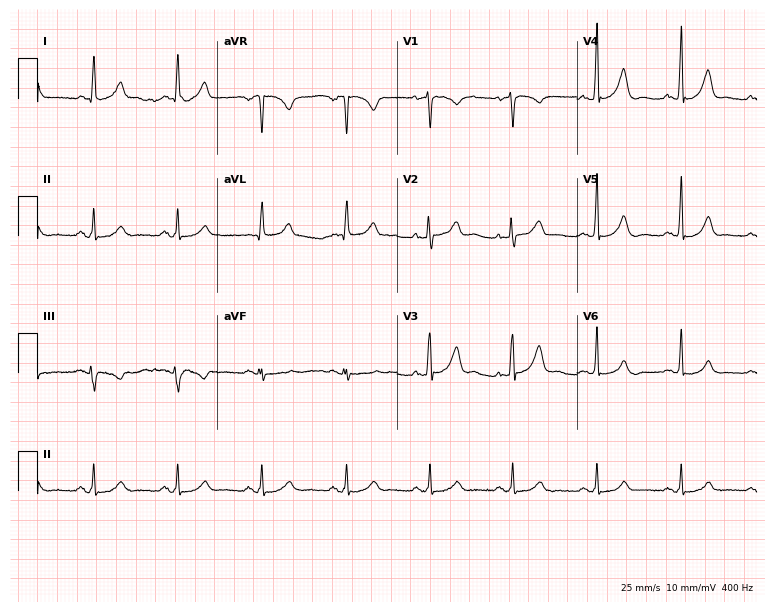
ECG — a female patient, 59 years old. Labelled as a normal ECG.